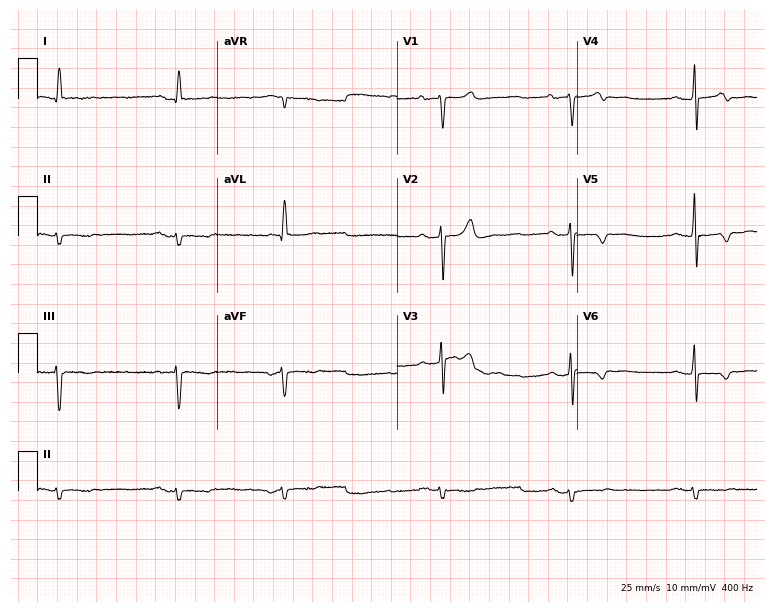
12-lead ECG from a 77-year-old male. No first-degree AV block, right bundle branch block (RBBB), left bundle branch block (LBBB), sinus bradycardia, atrial fibrillation (AF) or sinus tachycardia recorded for this tracing. Findings outside these six are not listed.